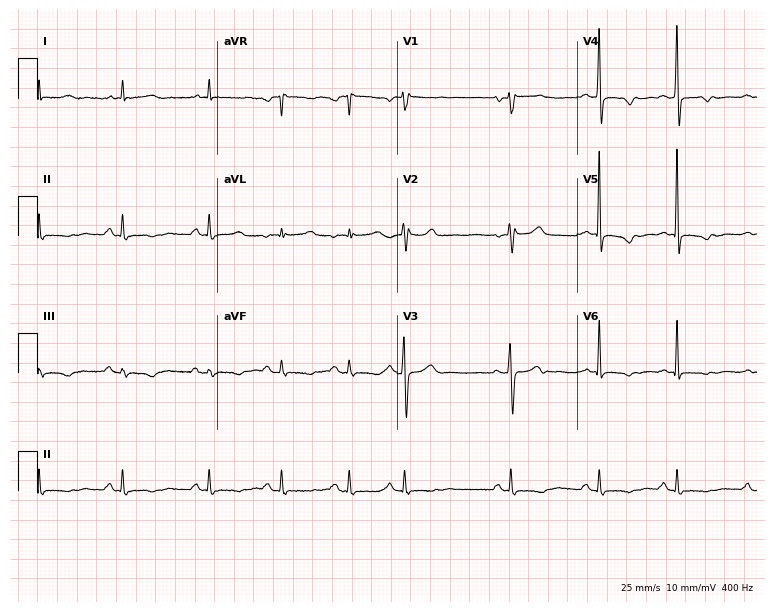
Standard 12-lead ECG recorded from a 62-year-old woman. None of these six findings is recorded: first-degree AV block, right bundle branch block, left bundle branch block, sinus bradycardia, atrial fibrillation, sinus tachycardia.